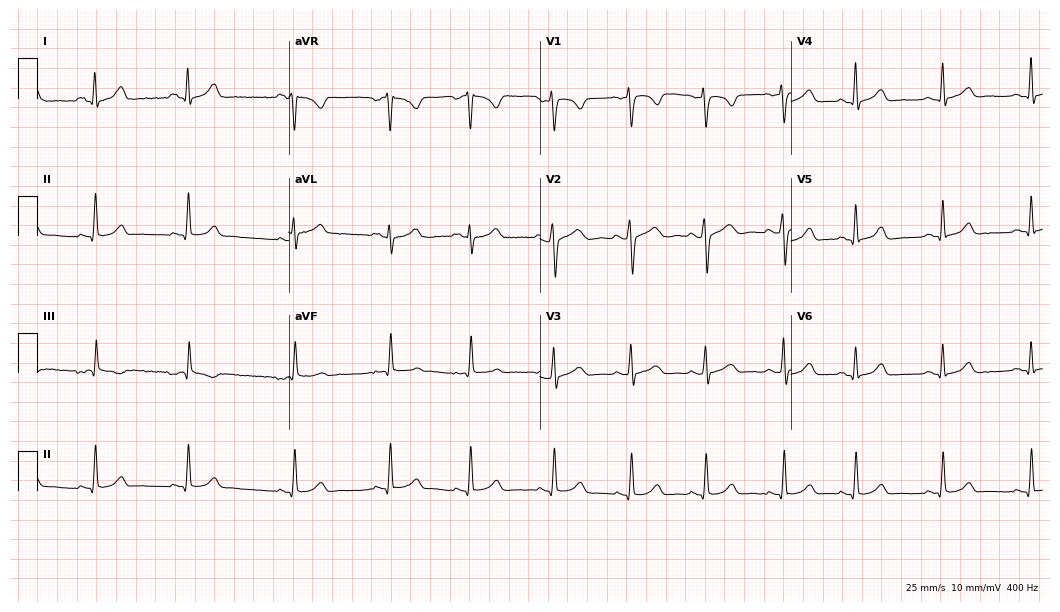
ECG — a 22-year-old female patient. Screened for six findings — first-degree AV block, right bundle branch block (RBBB), left bundle branch block (LBBB), sinus bradycardia, atrial fibrillation (AF), sinus tachycardia — none is recorded. Other findings, if any, are not listed.